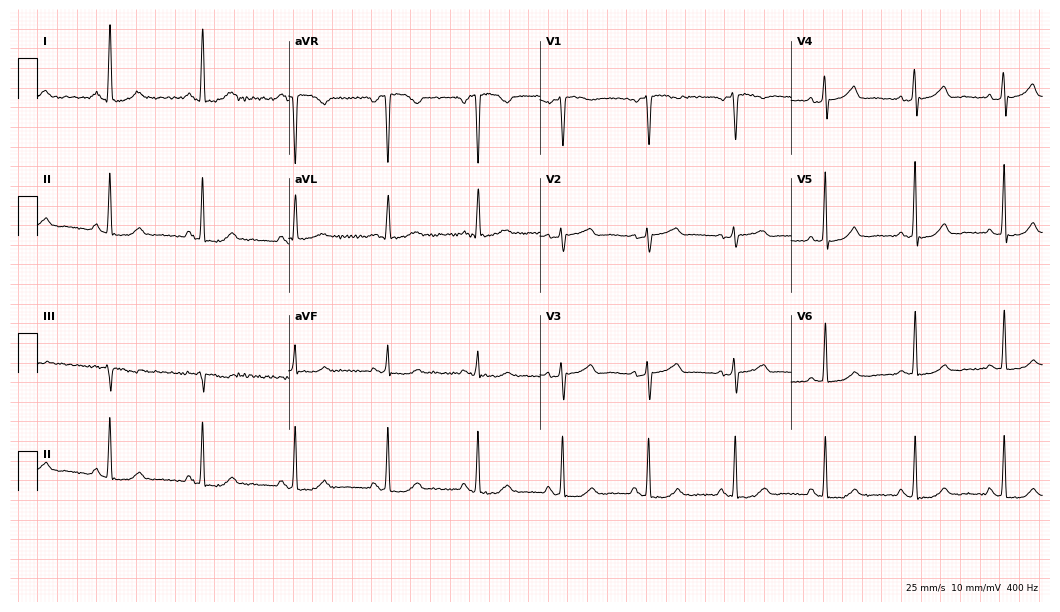
12-lead ECG from a 64-year-old female. Screened for six findings — first-degree AV block, right bundle branch block (RBBB), left bundle branch block (LBBB), sinus bradycardia, atrial fibrillation (AF), sinus tachycardia — none is recorded. Other findings, if any, are not listed.